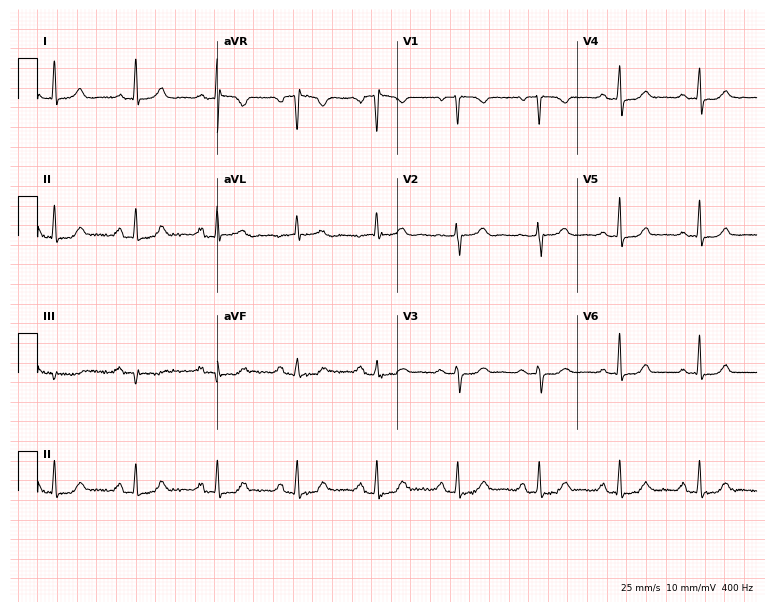
12-lead ECG from a female patient, 54 years old. Recorded interpretation: within normal limits.